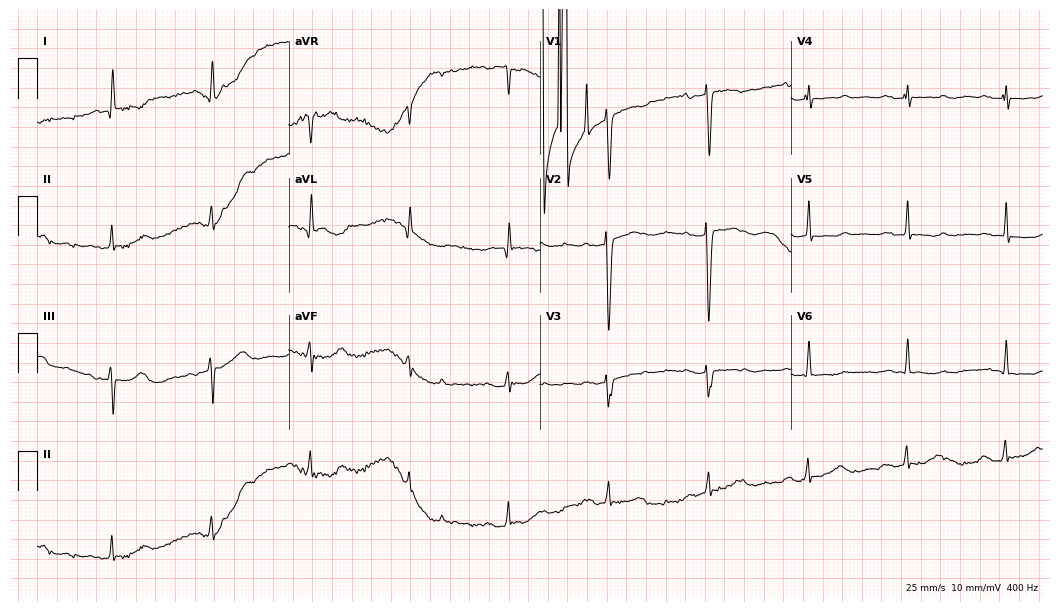
12-lead ECG (10.2-second recording at 400 Hz) from a female, 76 years old. Screened for six findings — first-degree AV block, right bundle branch block, left bundle branch block, sinus bradycardia, atrial fibrillation, sinus tachycardia — none is recorded. Other findings, if any, are not listed.